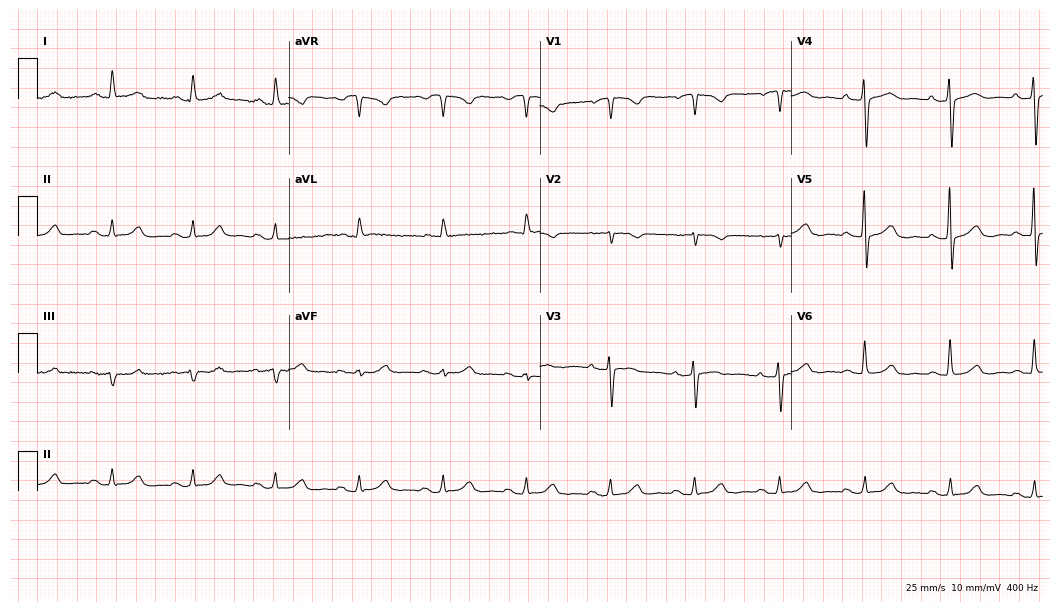
Standard 12-lead ECG recorded from a female, 75 years old (10.2-second recording at 400 Hz). Read as a normal ECG.